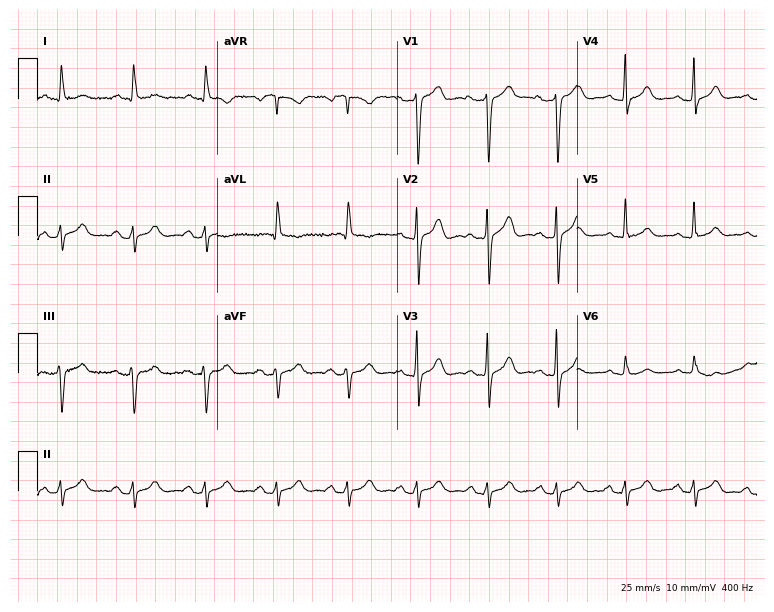
12-lead ECG (7.3-second recording at 400 Hz) from a 76-year-old man. Screened for six findings — first-degree AV block, right bundle branch block, left bundle branch block, sinus bradycardia, atrial fibrillation, sinus tachycardia — none is recorded. Findings outside these six are not listed.